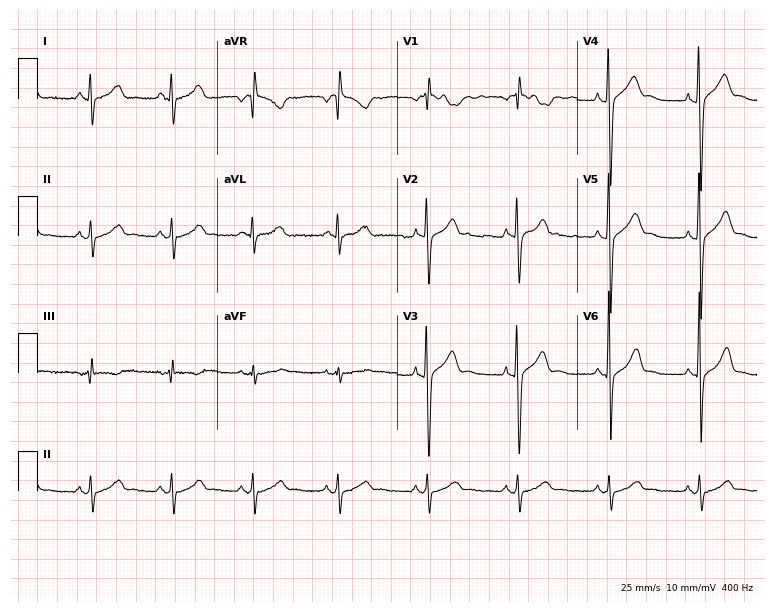
12-lead ECG from a 27-year-old man (7.3-second recording at 400 Hz). Recorded interpretation: within normal limits.